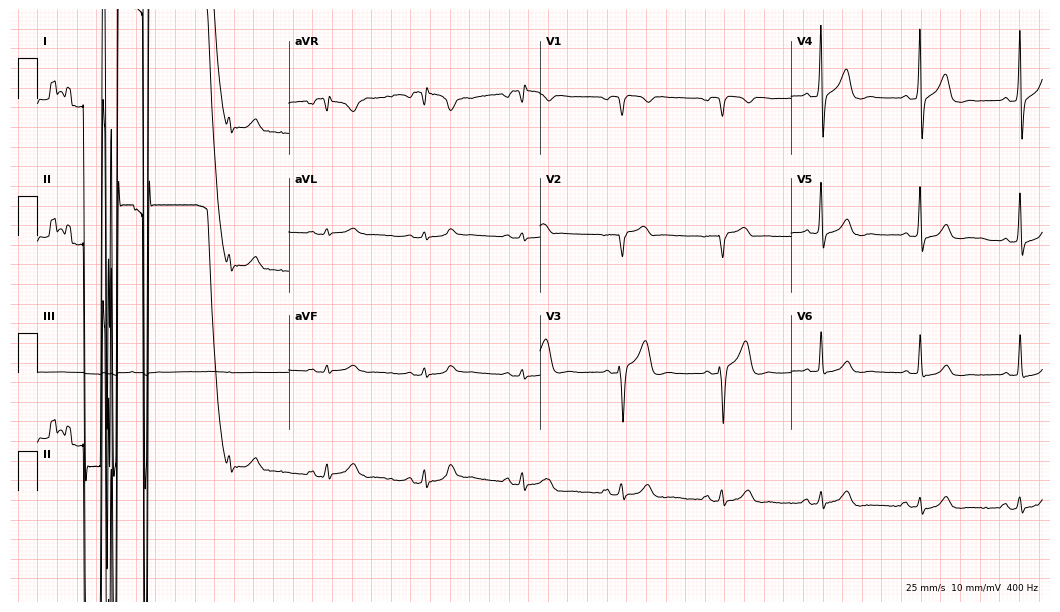
Standard 12-lead ECG recorded from a male, 72 years old. None of these six findings is recorded: first-degree AV block, right bundle branch block, left bundle branch block, sinus bradycardia, atrial fibrillation, sinus tachycardia.